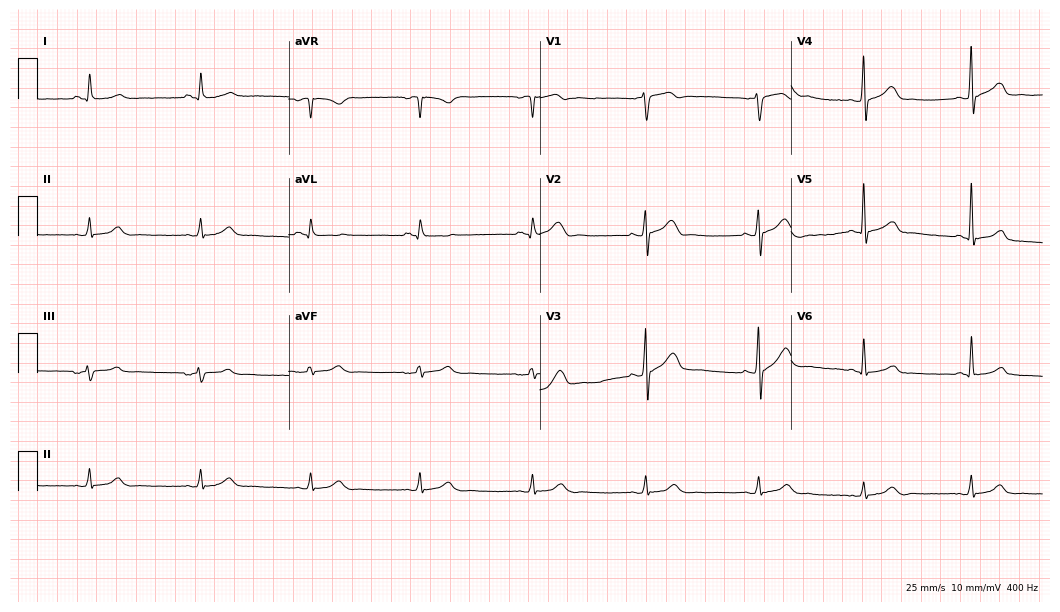
12-lead ECG from a 60-year-old male patient. Recorded interpretation: within normal limits.